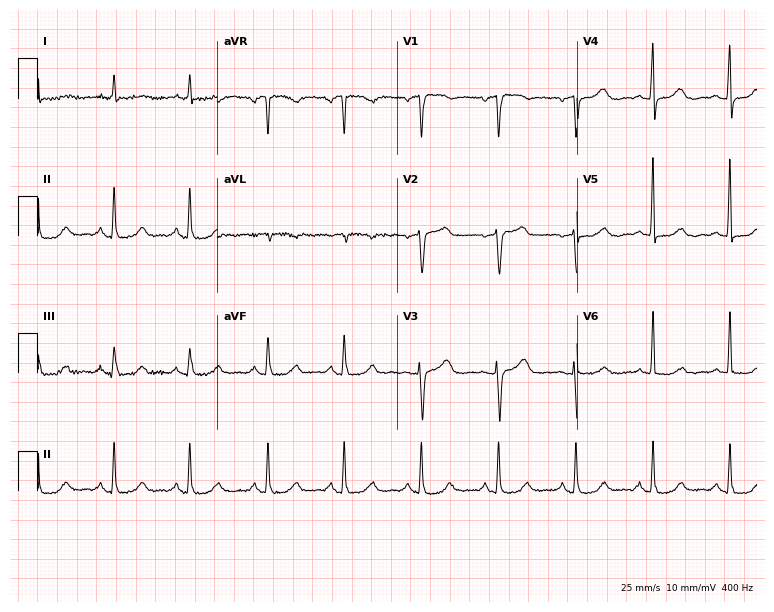
Standard 12-lead ECG recorded from an 80-year-old man (7.3-second recording at 400 Hz). None of these six findings is recorded: first-degree AV block, right bundle branch block, left bundle branch block, sinus bradycardia, atrial fibrillation, sinus tachycardia. Findings outside these six are not listed.